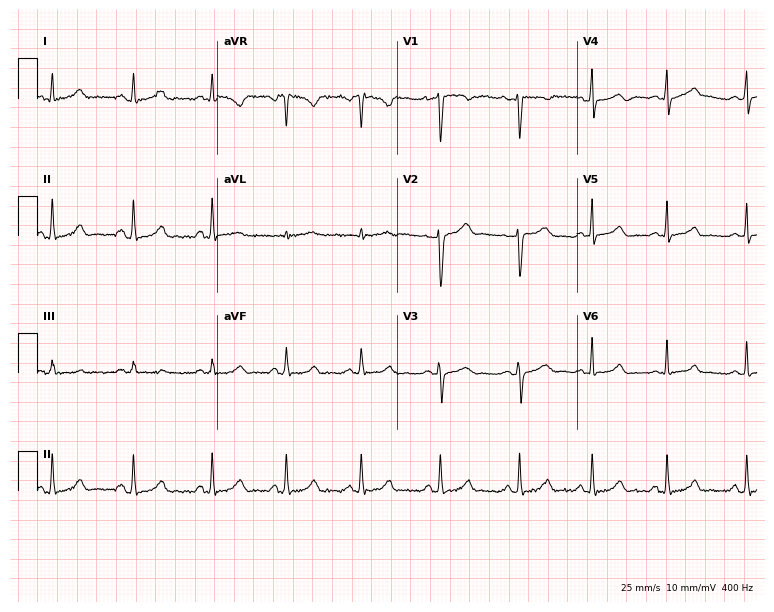
Resting 12-lead electrocardiogram. Patient: a 31-year-old female. Read as a normal ECG.